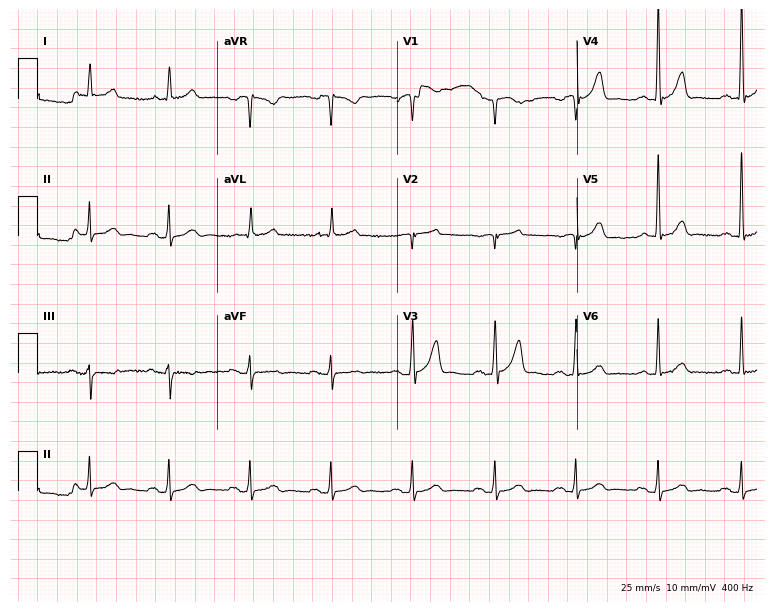
12-lead ECG (7.3-second recording at 400 Hz) from a man, 76 years old. Labelled as a normal ECG.